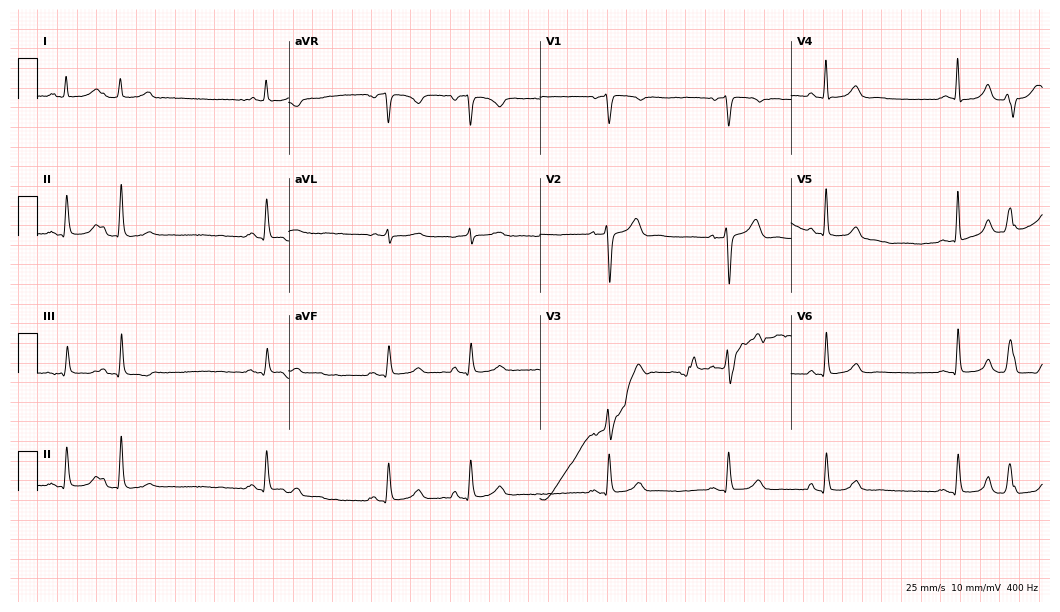
12-lead ECG (10.2-second recording at 400 Hz) from a 68-year-old man. Screened for six findings — first-degree AV block, right bundle branch block, left bundle branch block, sinus bradycardia, atrial fibrillation, sinus tachycardia — none is recorded. Findings outside these six are not listed.